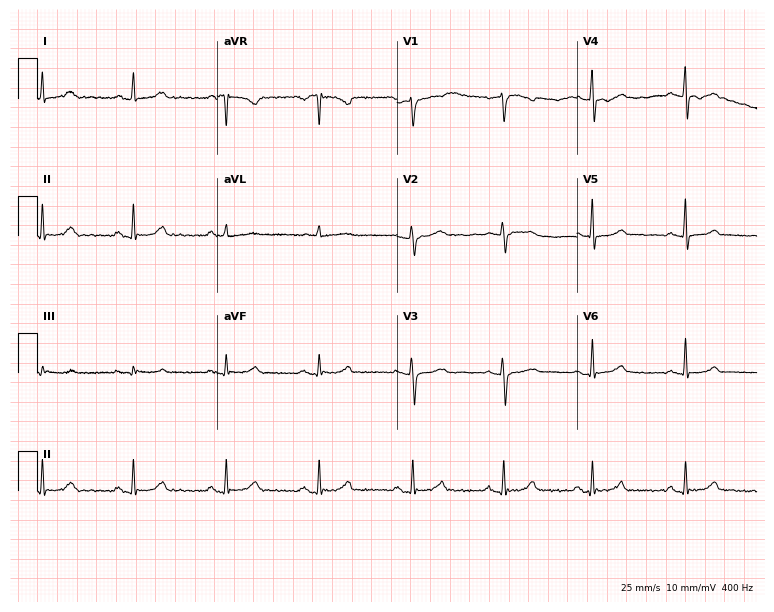
12-lead ECG from a 56-year-old female. Labelled as a normal ECG.